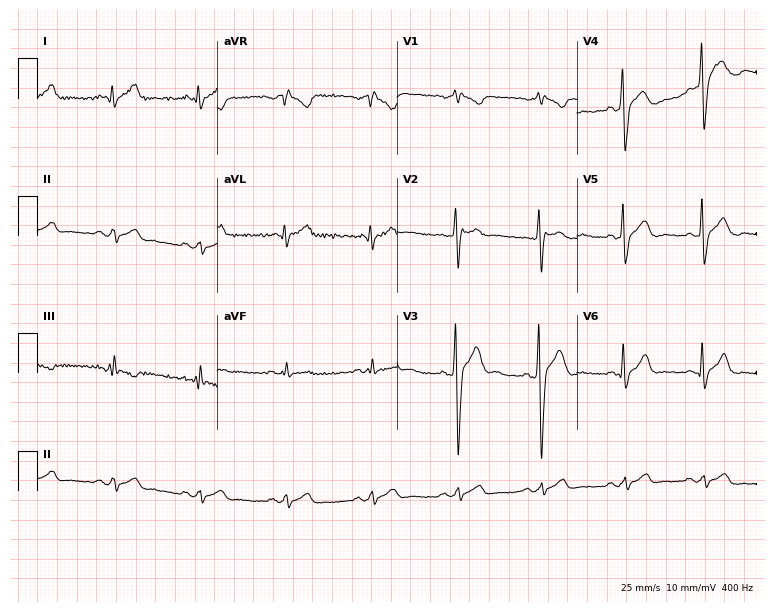
12-lead ECG from a 30-year-old male (7.3-second recording at 400 Hz). Shows right bundle branch block.